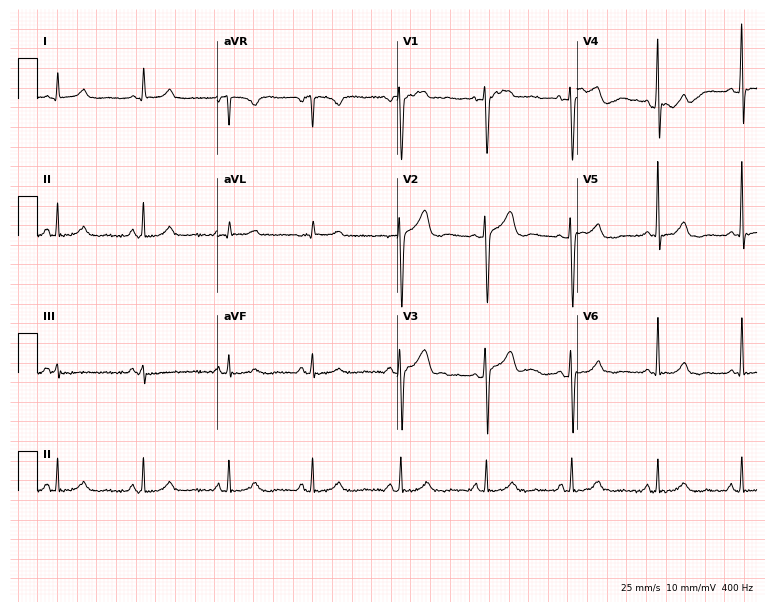
Electrocardiogram (7.3-second recording at 400 Hz), a female patient, 40 years old. Overall reading on record: normal ECG.